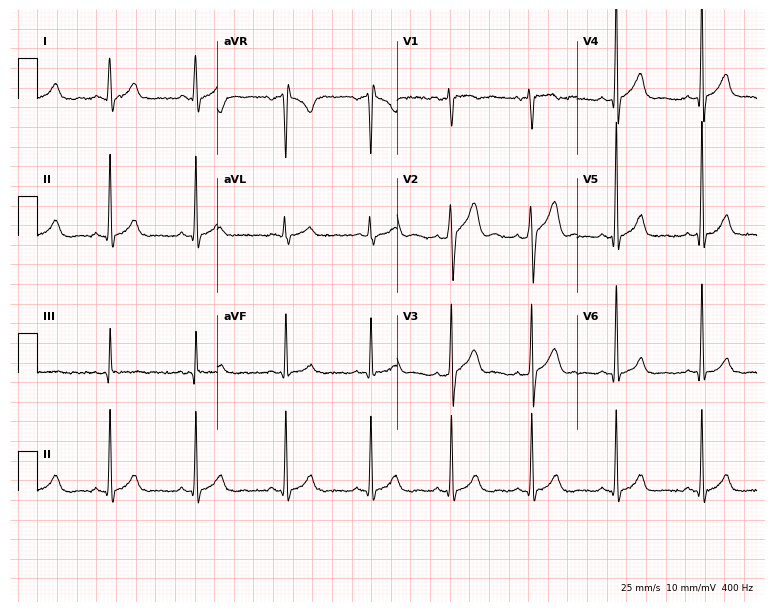
ECG — a man, 22 years old. Labelled as a normal ECG.